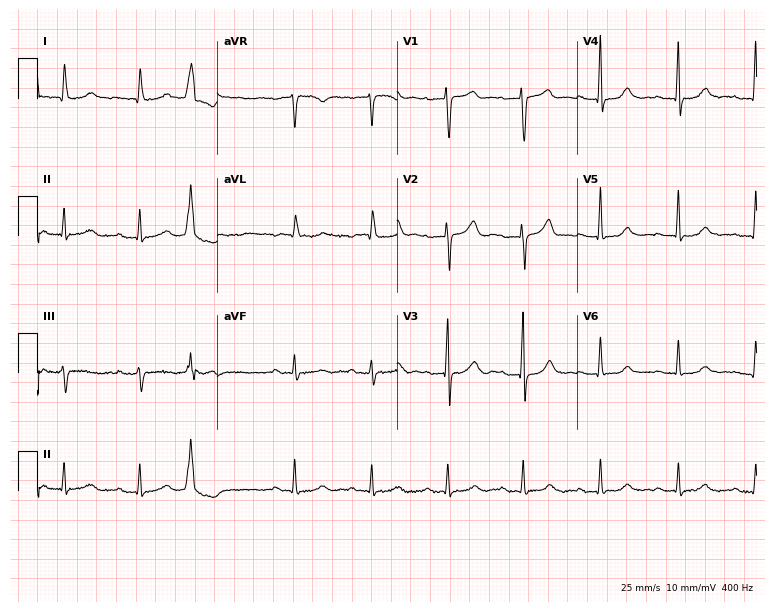
Standard 12-lead ECG recorded from a female, 78 years old. None of these six findings is recorded: first-degree AV block, right bundle branch block, left bundle branch block, sinus bradycardia, atrial fibrillation, sinus tachycardia. Only these six findings were labelled.